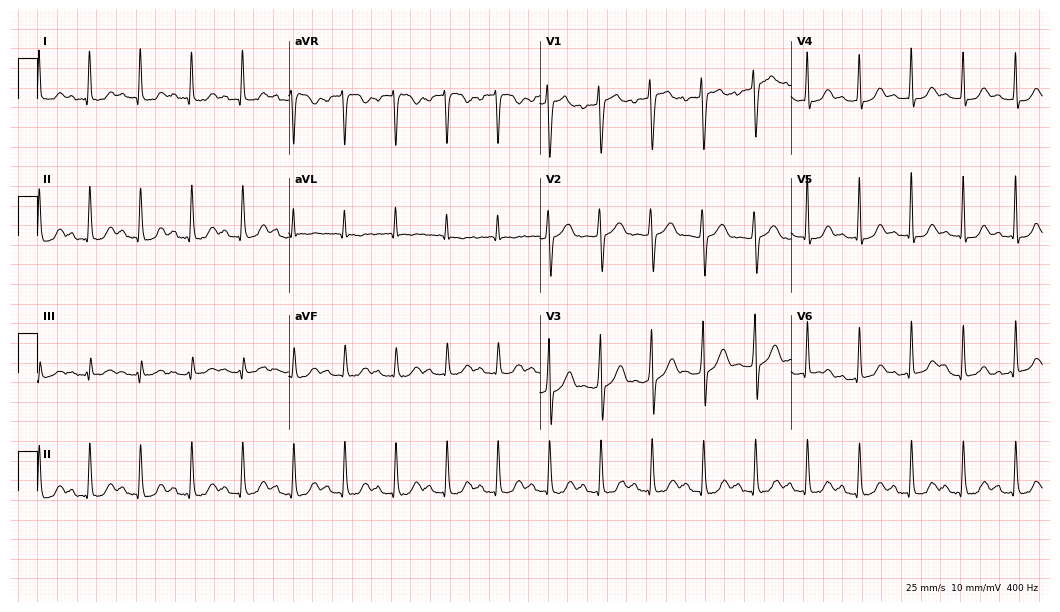
12-lead ECG from a female patient, 28 years old (10.2-second recording at 400 Hz). Shows sinus tachycardia (a sinus rate of 100 beats per minute or more).